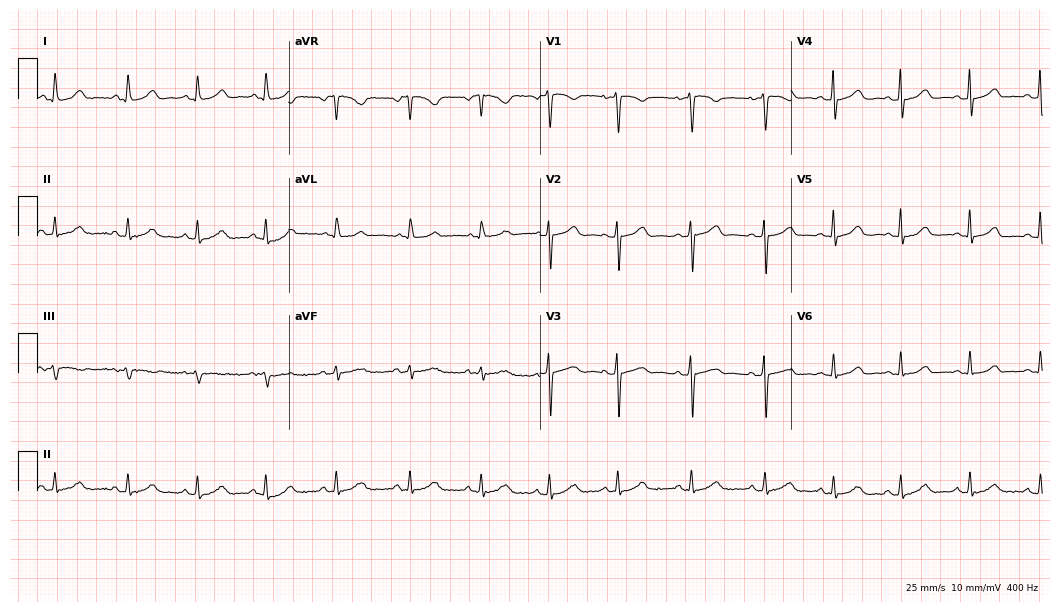
Standard 12-lead ECG recorded from an 18-year-old female. Read as a normal ECG.